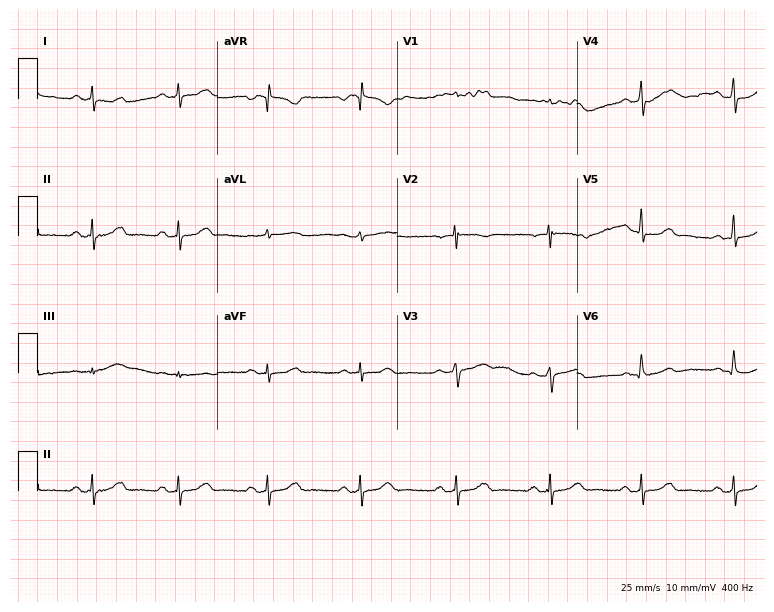
12-lead ECG from a 67-year-old female patient. Labelled as a normal ECG.